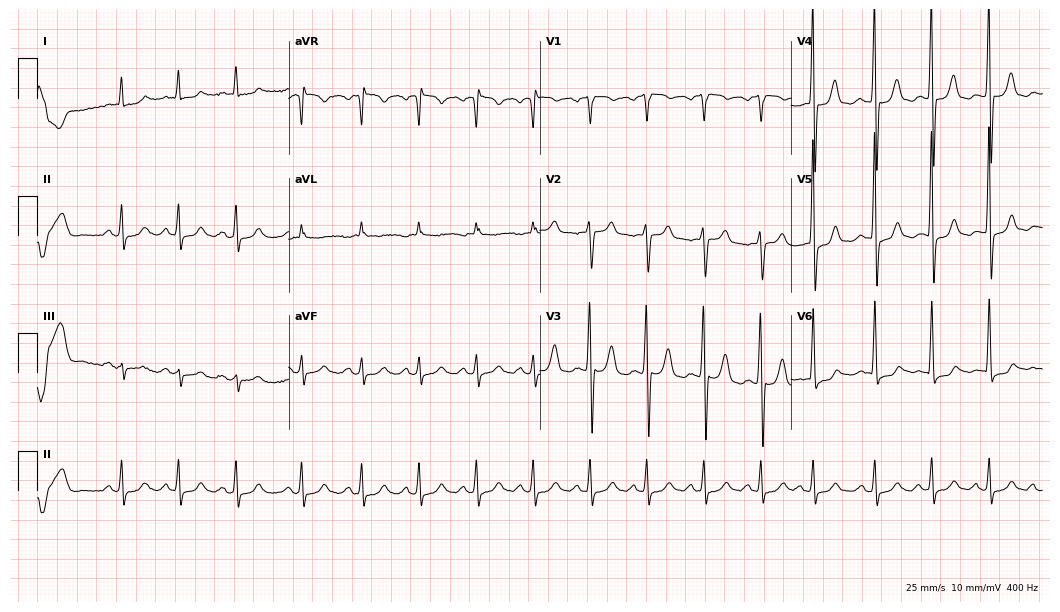
Resting 12-lead electrocardiogram. Patient: a male, 74 years old. None of these six findings is recorded: first-degree AV block, right bundle branch block, left bundle branch block, sinus bradycardia, atrial fibrillation, sinus tachycardia.